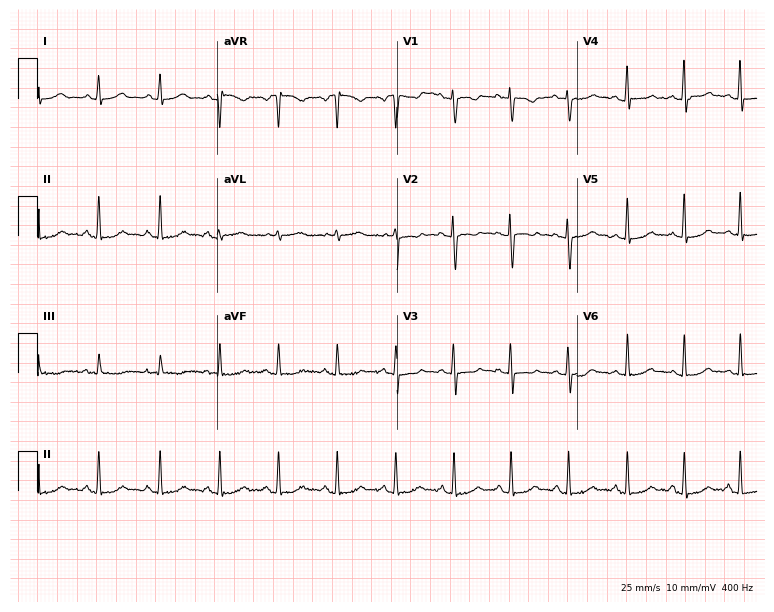
Electrocardiogram (7.3-second recording at 400 Hz), a woman, 31 years old. Of the six screened findings (first-degree AV block, right bundle branch block (RBBB), left bundle branch block (LBBB), sinus bradycardia, atrial fibrillation (AF), sinus tachycardia), none is recorded.